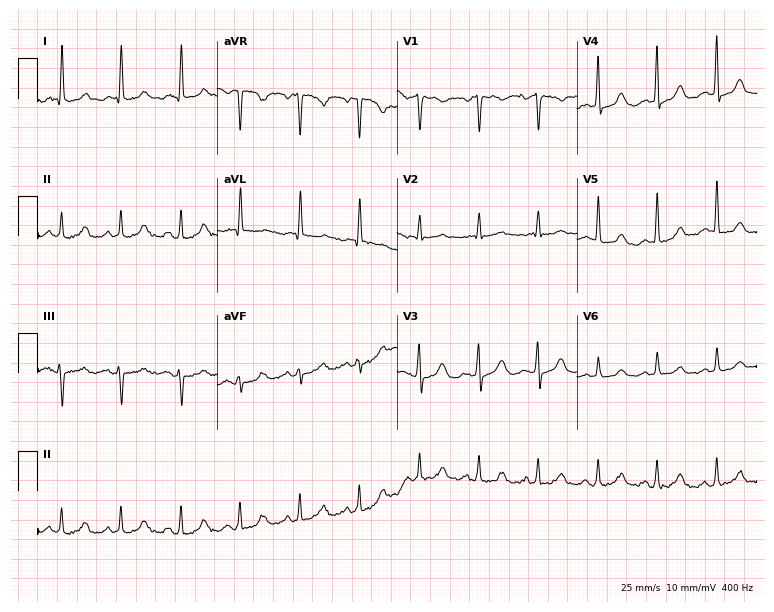
ECG (7.3-second recording at 400 Hz) — an 81-year-old female patient. Screened for six findings — first-degree AV block, right bundle branch block, left bundle branch block, sinus bradycardia, atrial fibrillation, sinus tachycardia — none is recorded. Findings outside these six are not listed.